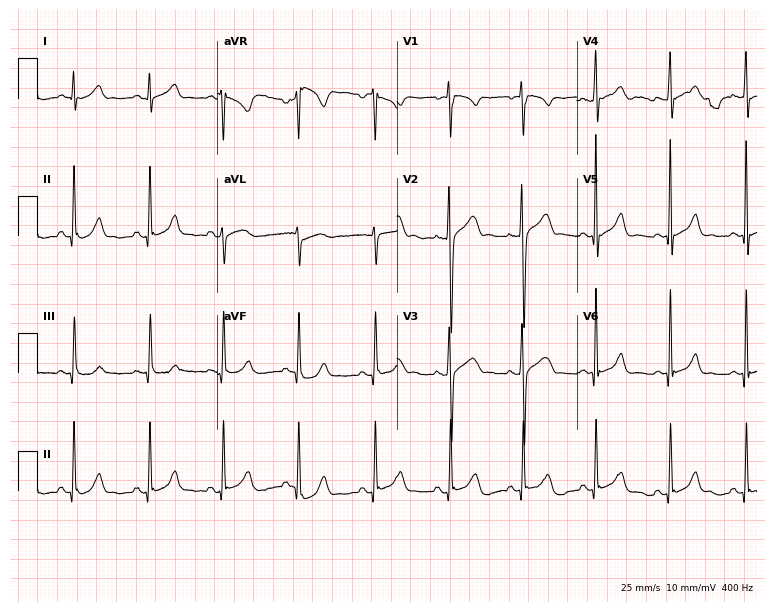
12-lead ECG from a 22-year-old woman. No first-degree AV block, right bundle branch block, left bundle branch block, sinus bradycardia, atrial fibrillation or sinus tachycardia recorded for this tracing. Other findings, if any, are not listed.